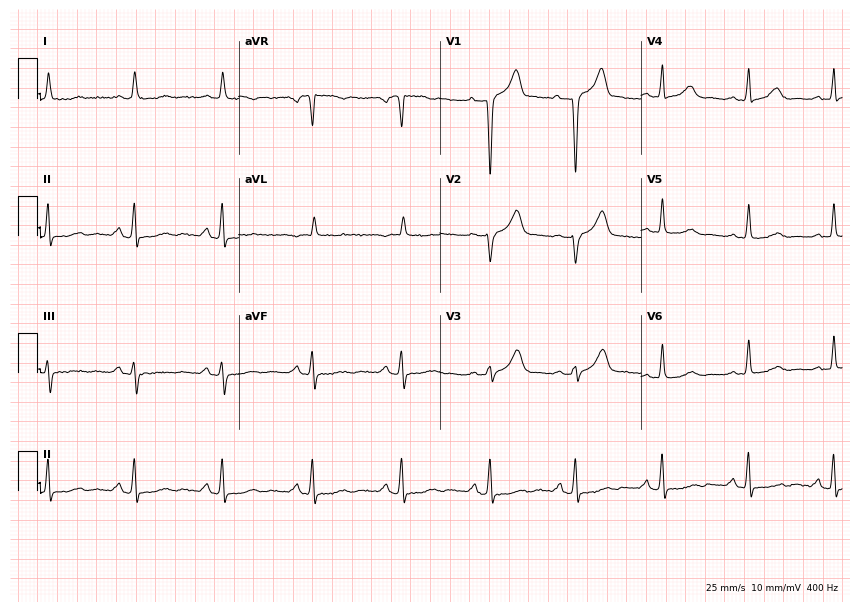
ECG — a 72-year-old male patient. Labelled as a normal ECG.